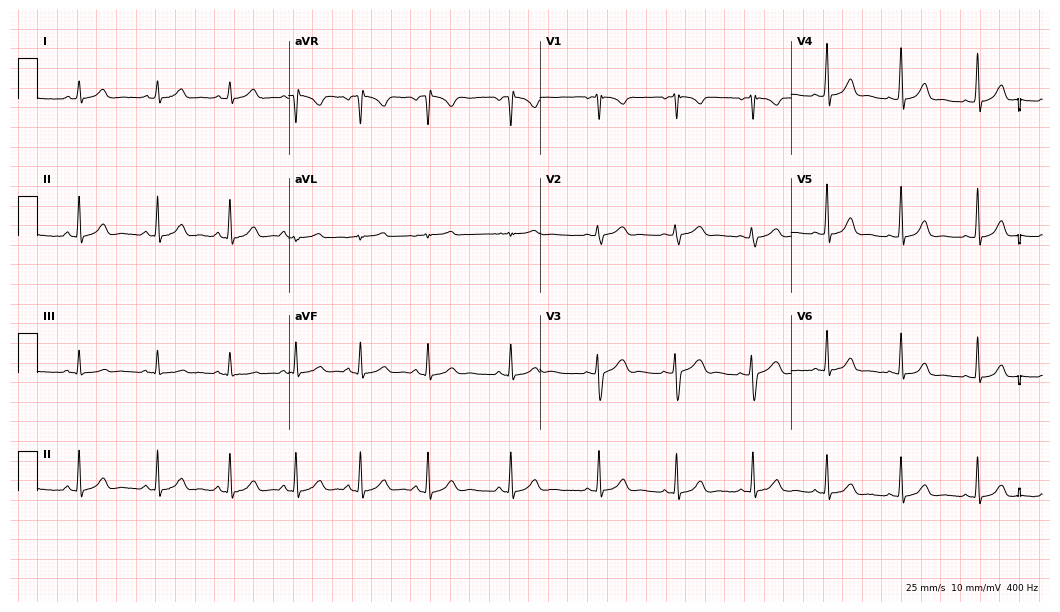
Standard 12-lead ECG recorded from a 19-year-old female patient. Read as a normal ECG.